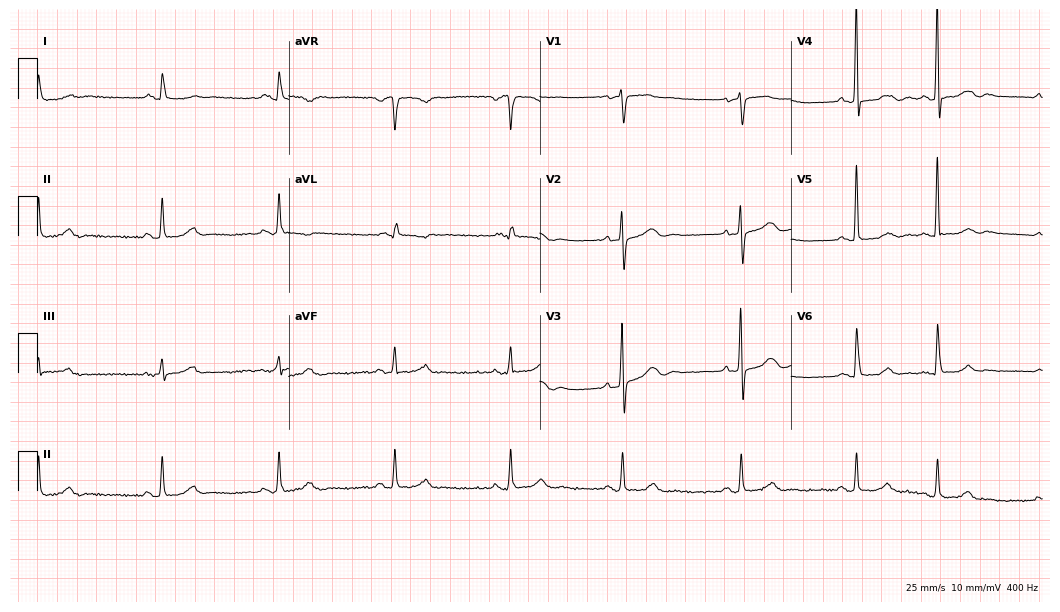
12-lead ECG from a 70-year-old female. No first-degree AV block, right bundle branch block, left bundle branch block, sinus bradycardia, atrial fibrillation or sinus tachycardia recorded for this tracing. Other findings, if any, are not listed.